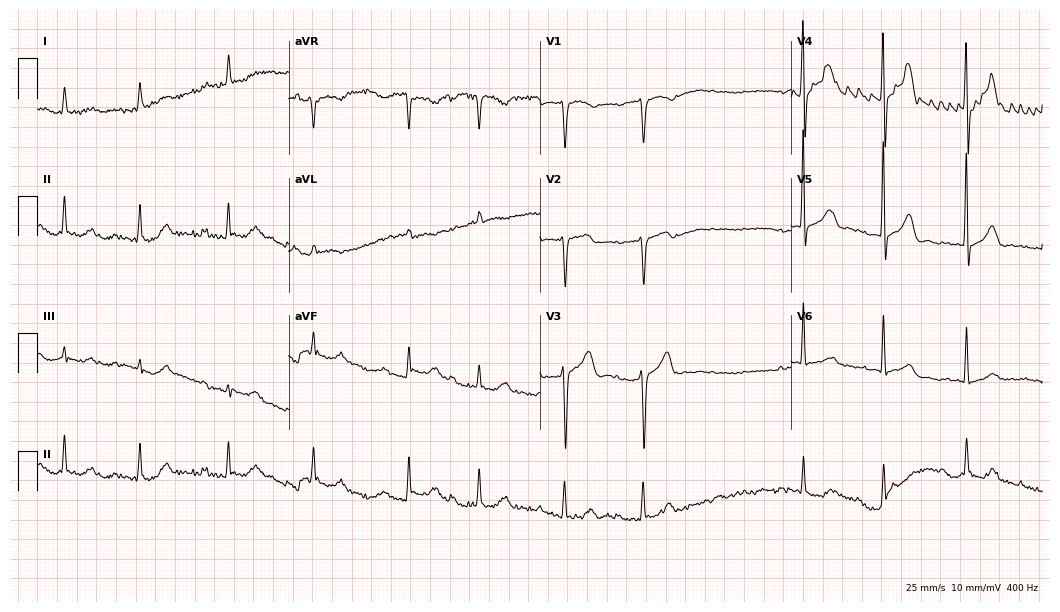
Resting 12-lead electrocardiogram. Patient: a 71-year-old man. Read as a normal ECG.